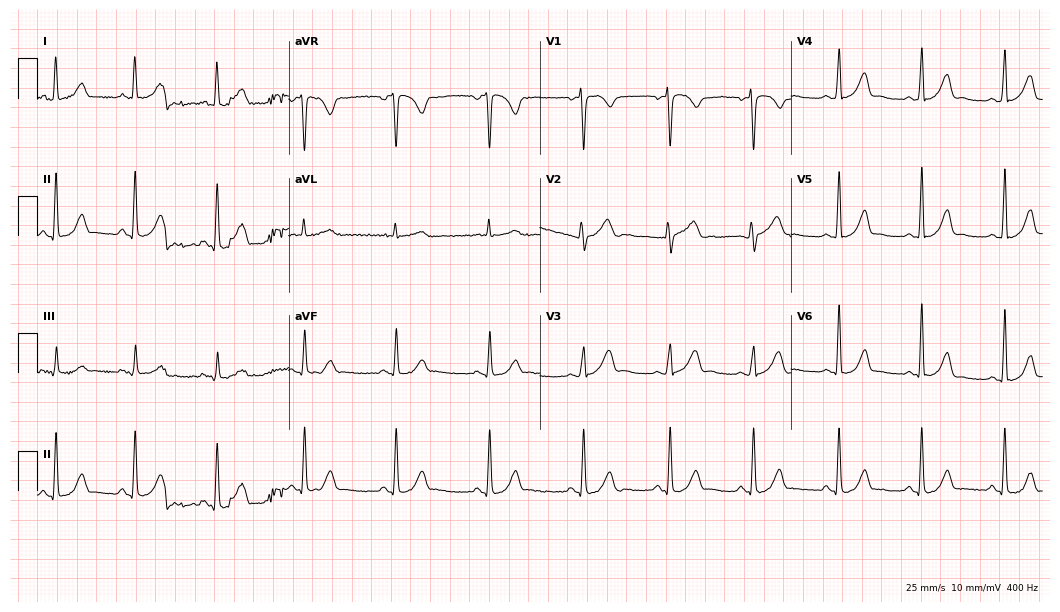
Electrocardiogram, a woman, 38 years old. Overall reading on record: normal ECG.